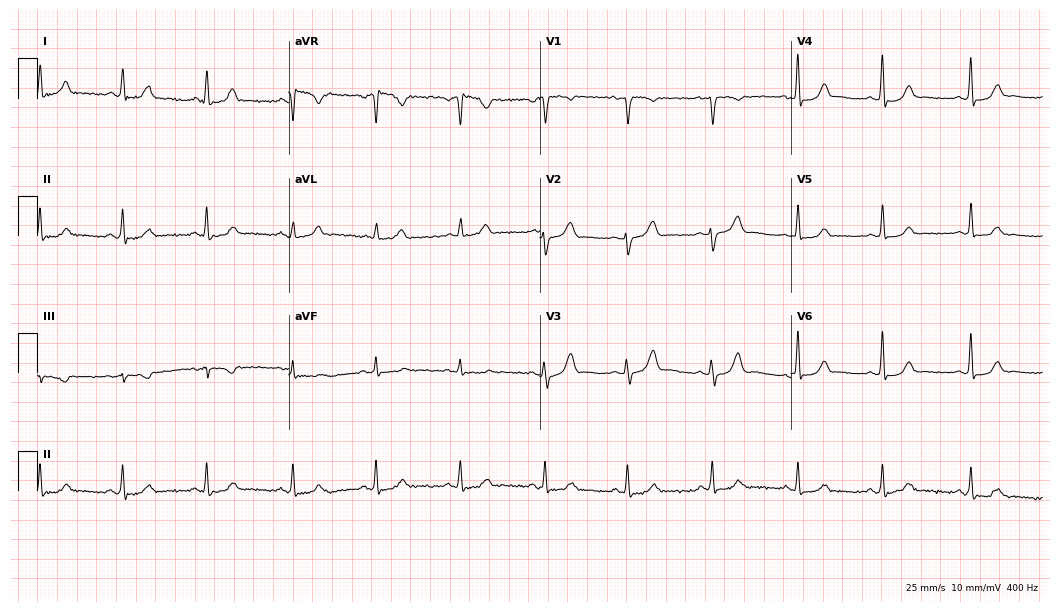
Resting 12-lead electrocardiogram (10.2-second recording at 400 Hz). Patient: a female, 33 years old. None of these six findings is recorded: first-degree AV block, right bundle branch block (RBBB), left bundle branch block (LBBB), sinus bradycardia, atrial fibrillation (AF), sinus tachycardia. Findings outside these six are not listed.